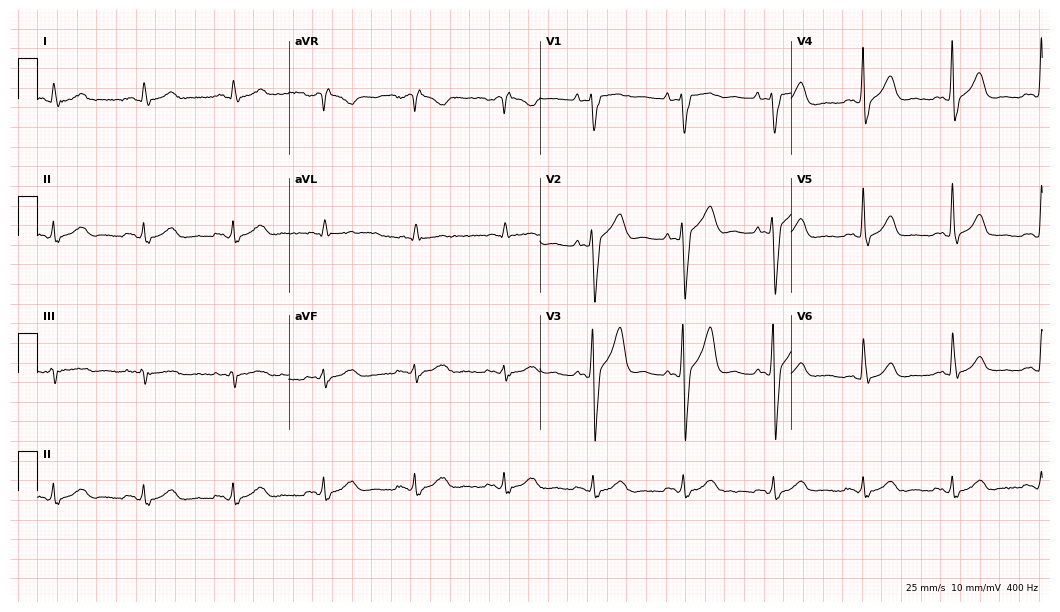
12-lead ECG (10.2-second recording at 400 Hz) from a male patient, 67 years old. Screened for six findings — first-degree AV block, right bundle branch block, left bundle branch block, sinus bradycardia, atrial fibrillation, sinus tachycardia — none is recorded. Other findings, if any, are not listed.